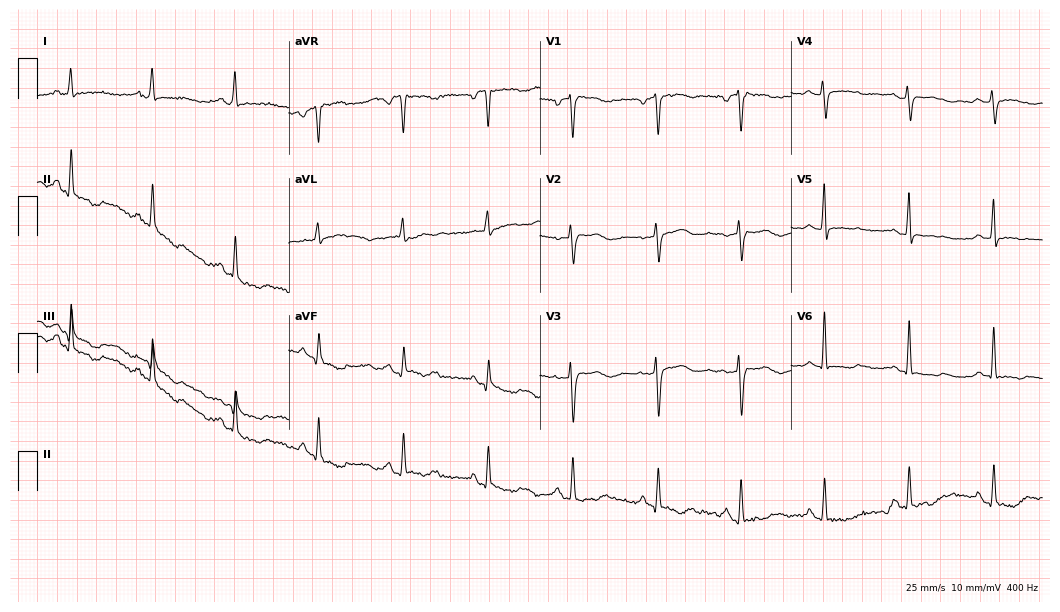
ECG — a female, 59 years old. Screened for six findings — first-degree AV block, right bundle branch block (RBBB), left bundle branch block (LBBB), sinus bradycardia, atrial fibrillation (AF), sinus tachycardia — none is recorded. Findings outside these six are not listed.